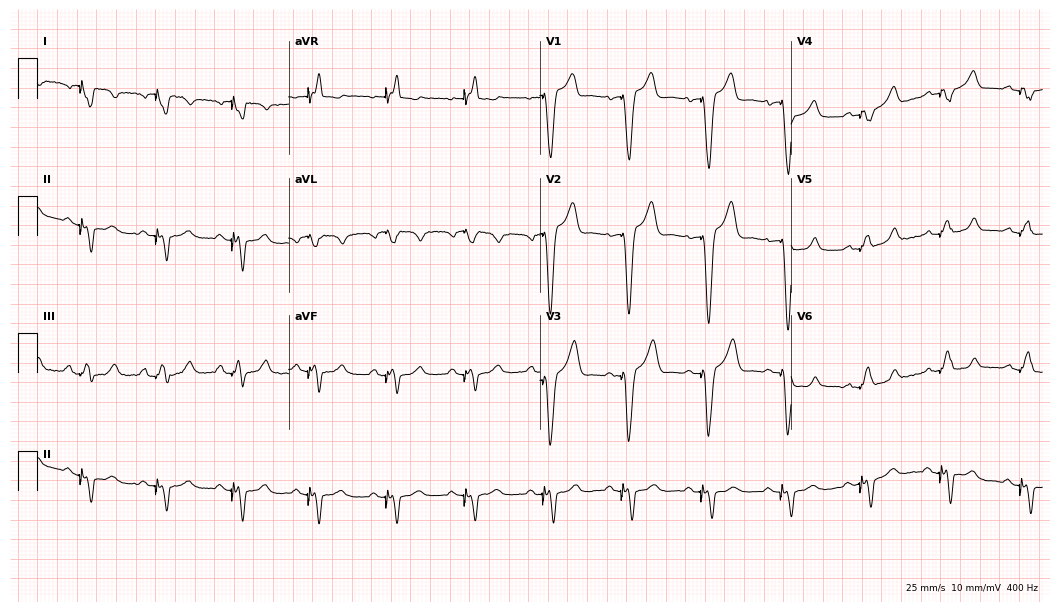
ECG — a 64-year-old man. Screened for six findings — first-degree AV block, right bundle branch block (RBBB), left bundle branch block (LBBB), sinus bradycardia, atrial fibrillation (AF), sinus tachycardia — none is recorded. Only these six findings were labelled.